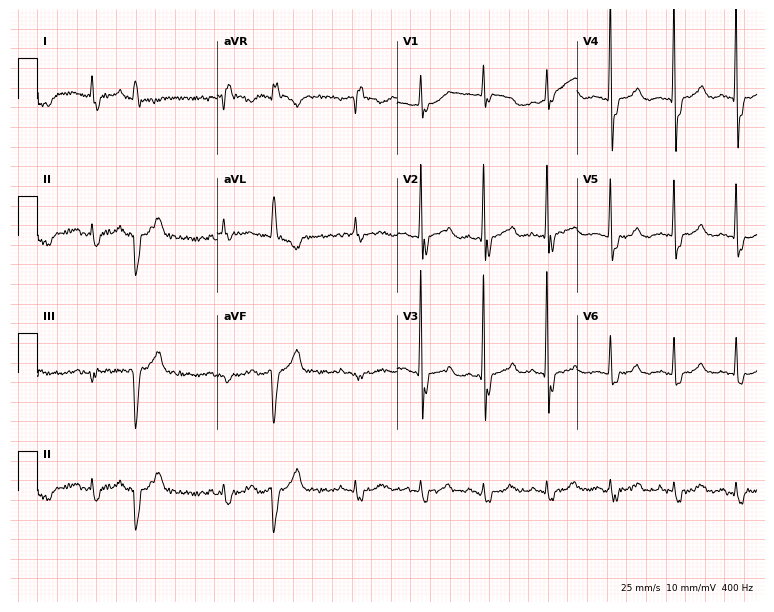
12-lead ECG from an 85-year-old man. Findings include right bundle branch block.